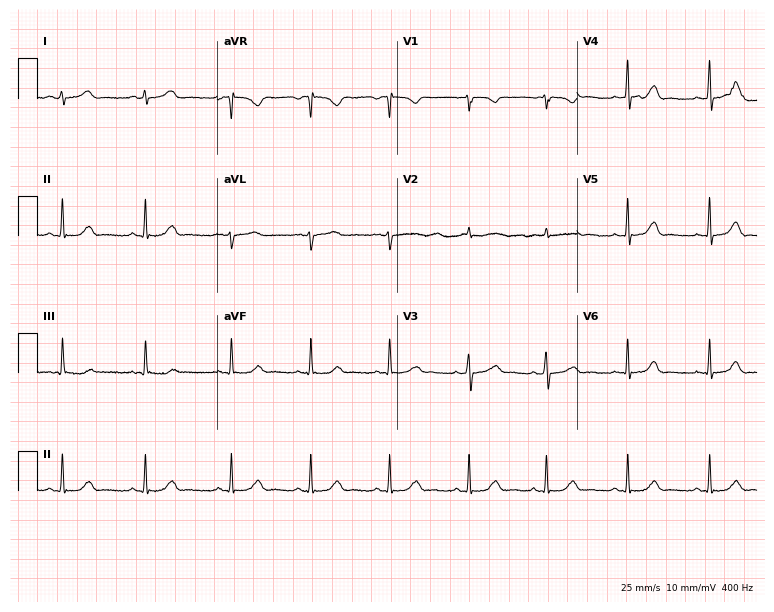
Electrocardiogram (7.3-second recording at 400 Hz), a 21-year-old woman. Overall reading on record: normal ECG.